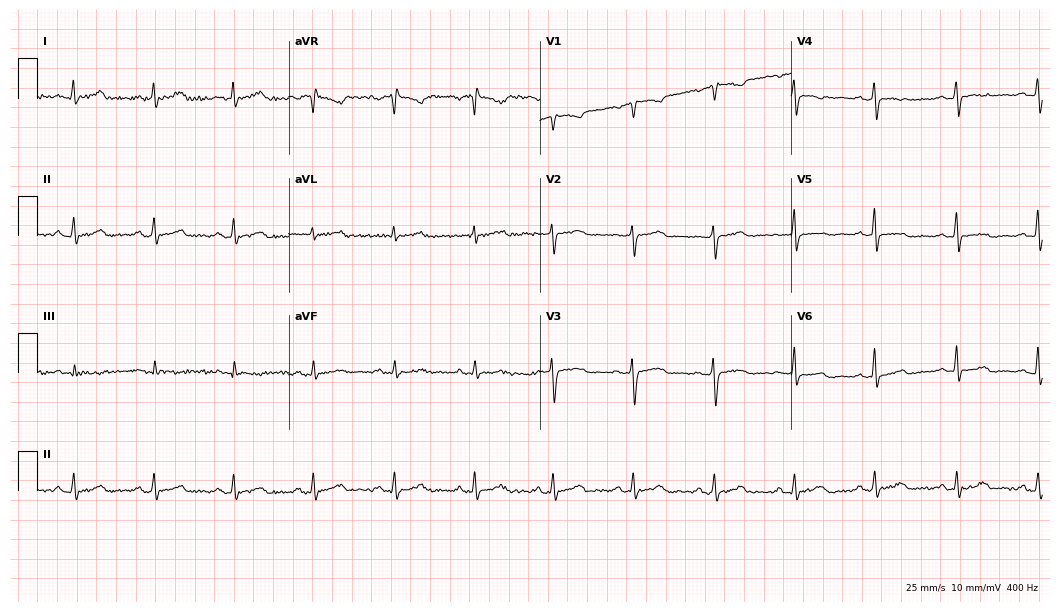
12-lead ECG (10.2-second recording at 400 Hz) from a 45-year-old woman. Screened for six findings — first-degree AV block, right bundle branch block, left bundle branch block, sinus bradycardia, atrial fibrillation, sinus tachycardia — none is recorded. Other findings, if any, are not listed.